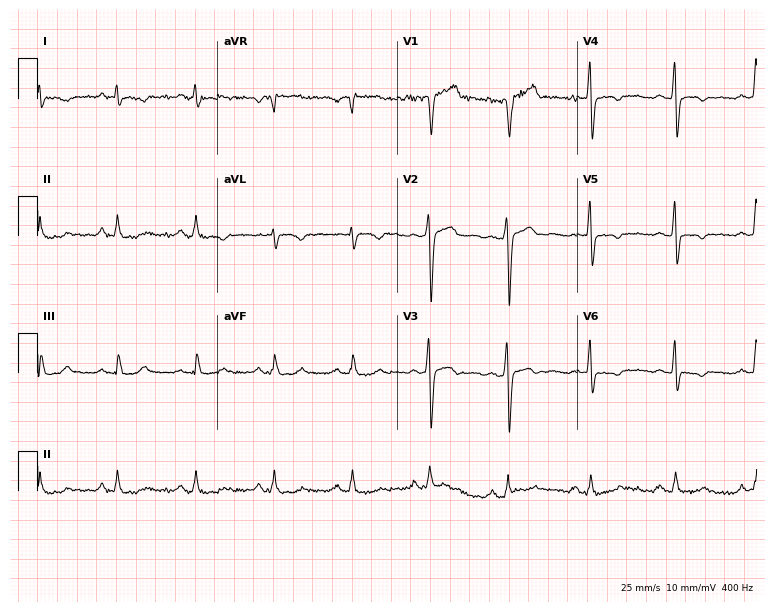
Electrocardiogram, a 46-year-old male. Of the six screened findings (first-degree AV block, right bundle branch block (RBBB), left bundle branch block (LBBB), sinus bradycardia, atrial fibrillation (AF), sinus tachycardia), none is recorded.